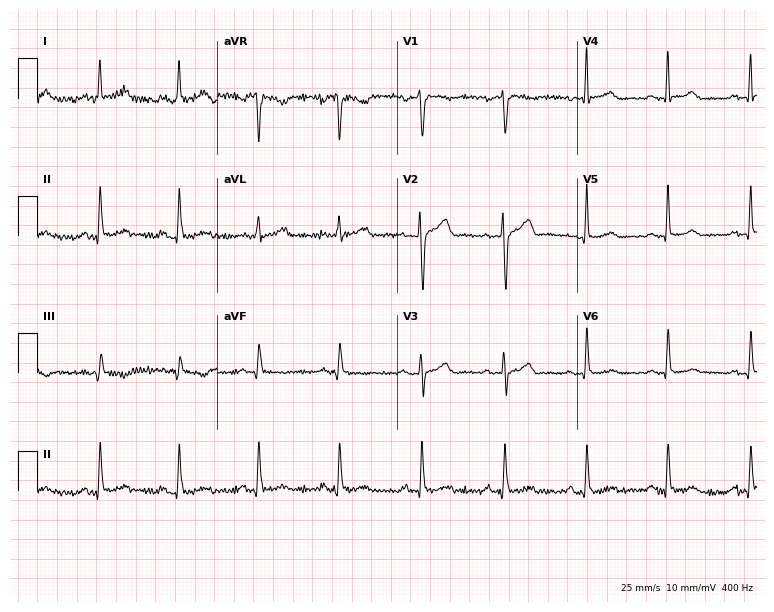
ECG (7.3-second recording at 400 Hz) — a female, 47 years old. Screened for six findings — first-degree AV block, right bundle branch block (RBBB), left bundle branch block (LBBB), sinus bradycardia, atrial fibrillation (AF), sinus tachycardia — none is recorded.